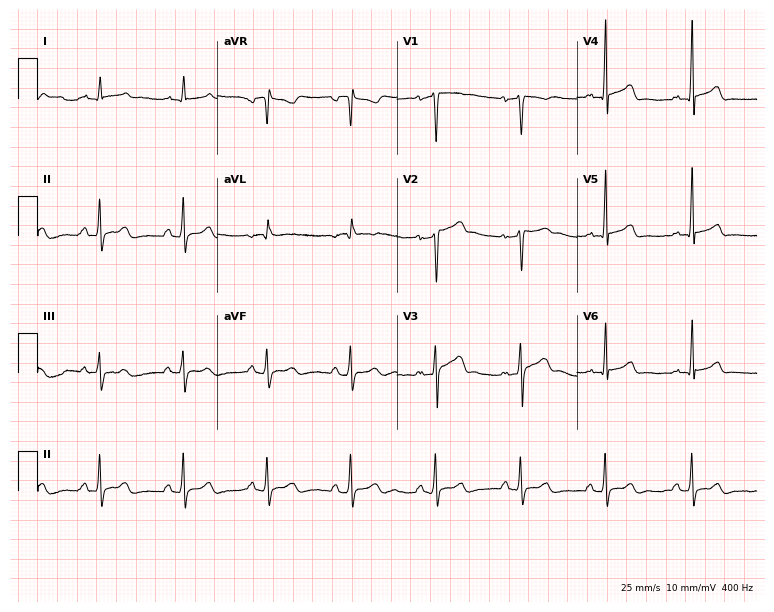
ECG (7.3-second recording at 400 Hz) — a 39-year-old male. Screened for six findings — first-degree AV block, right bundle branch block, left bundle branch block, sinus bradycardia, atrial fibrillation, sinus tachycardia — none is recorded.